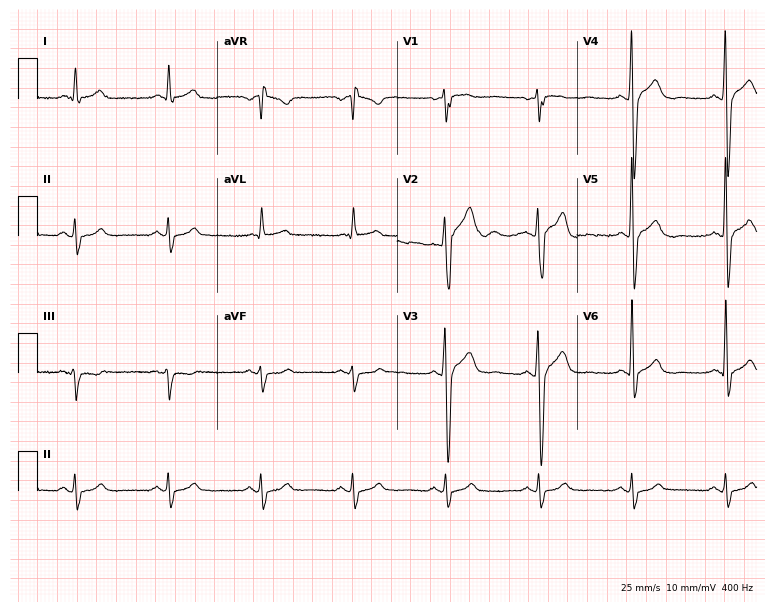
ECG — a 43-year-old man. Screened for six findings — first-degree AV block, right bundle branch block, left bundle branch block, sinus bradycardia, atrial fibrillation, sinus tachycardia — none is recorded.